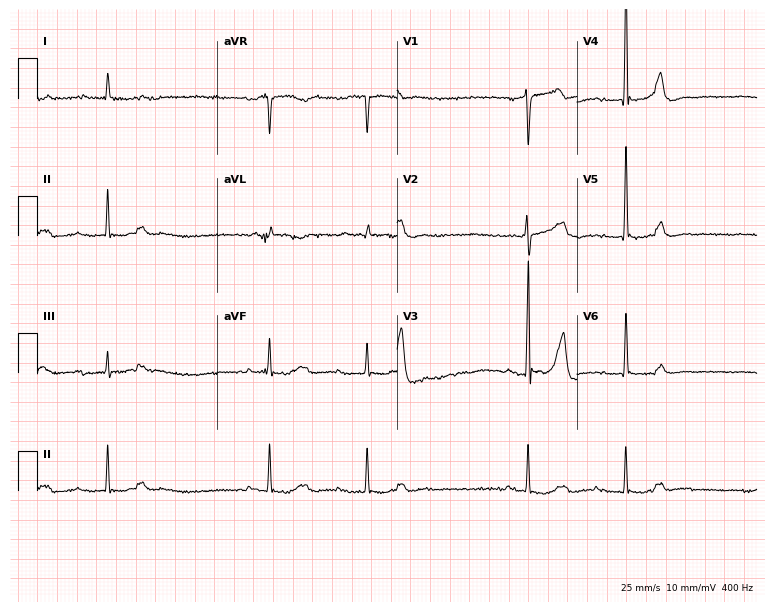
Resting 12-lead electrocardiogram. Patient: a man, 84 years old. The tracing shows first-degree AV block.